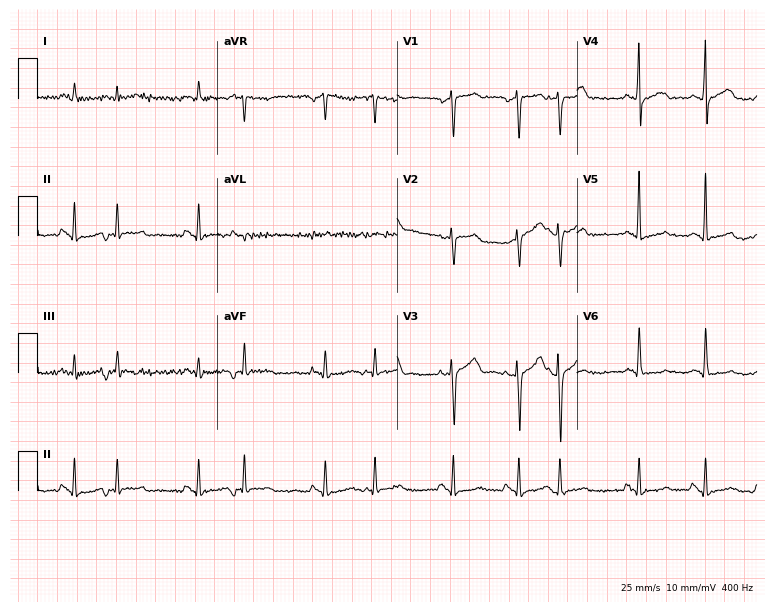
12-lead ECG from an 80-year-old male (7.3-second recording at 400 Hz). No first-degree AV block, right bundle branch block, left bundle branch block, sinus bradycardia, atrial fibrillation or sinus tachycardia recorded for this tracing. Only these six findings were labelled.